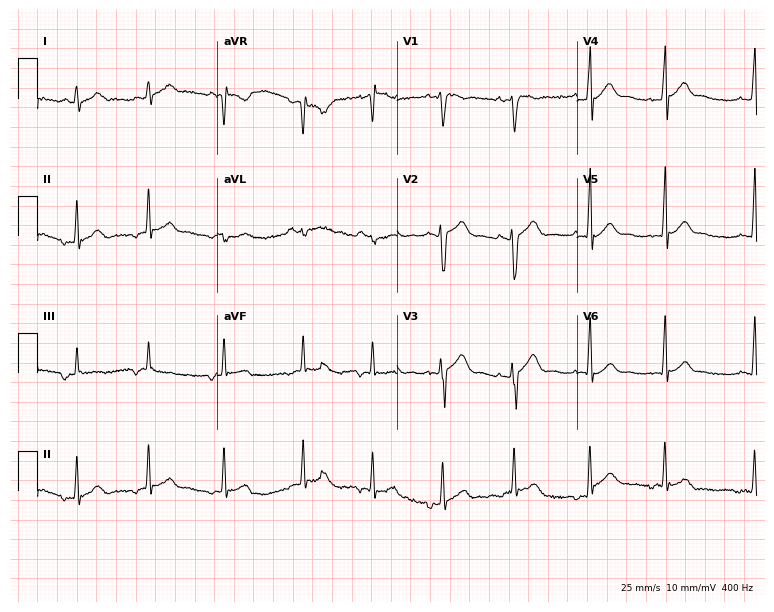
Resting 12-lead electrocardiogram (7.3-second recording at 400 Hz). Patient: a man, 17 years old. None of these six findings is recorded: first-degree AV block, right bundle branch block, left bundle branch block, sinus bradycardia, atrial fibrillation, sinus tachycardia.